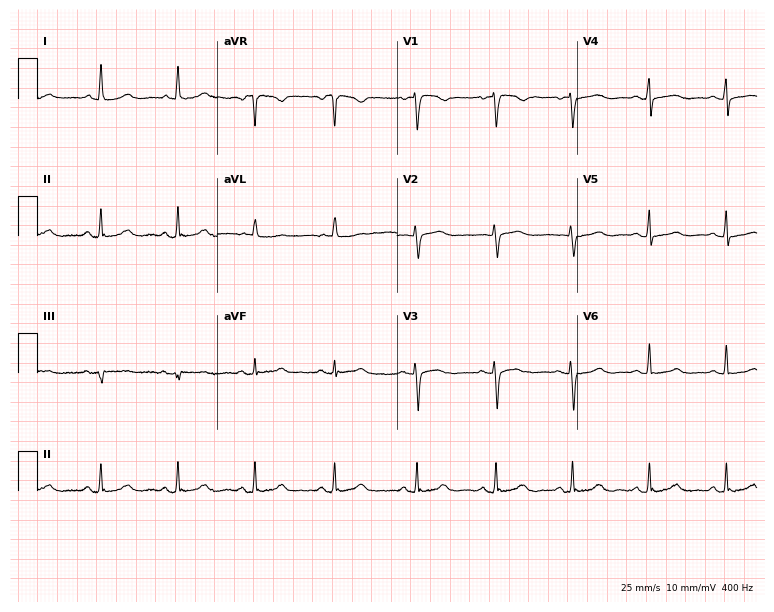
Standard 12-lead ECG recorded from a 49-year-old female patient. Read as a normal ECG.